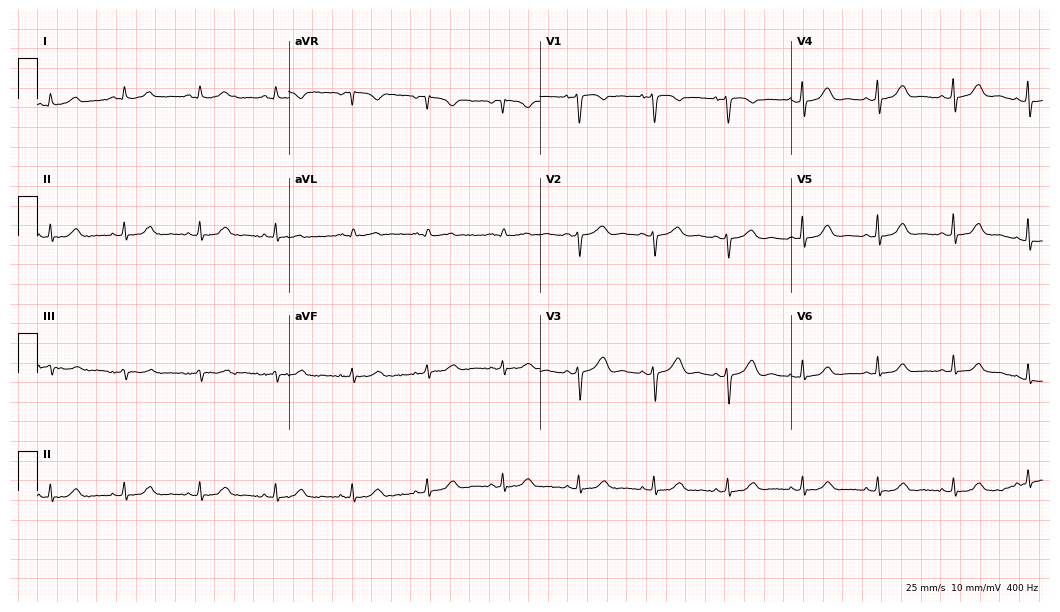
Electrocardiogram, a female patient, 66 years old. Overall reading on record: normal ECG.